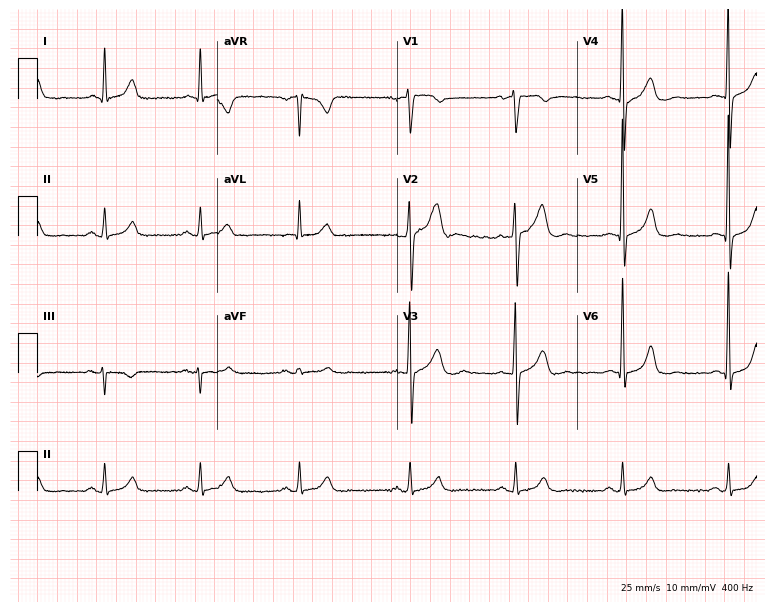
ECG — a 40-year-old male patient. Labelled as a normal ECG.